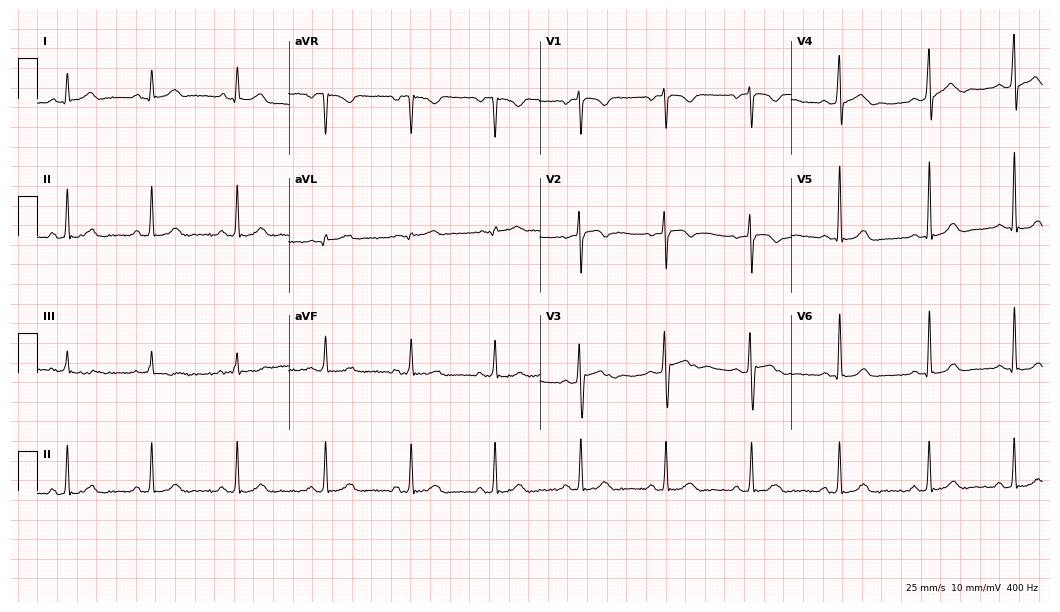
12-lead ECG (10.2-second recording at 400 Hz) from a 33-year-old male patient. Screened for six findings — first-degree AV block, right bundle branch block, left bundle branch block, sinus bradycardia, atrial fibrillation, sinus tachycardia — none is recorded.